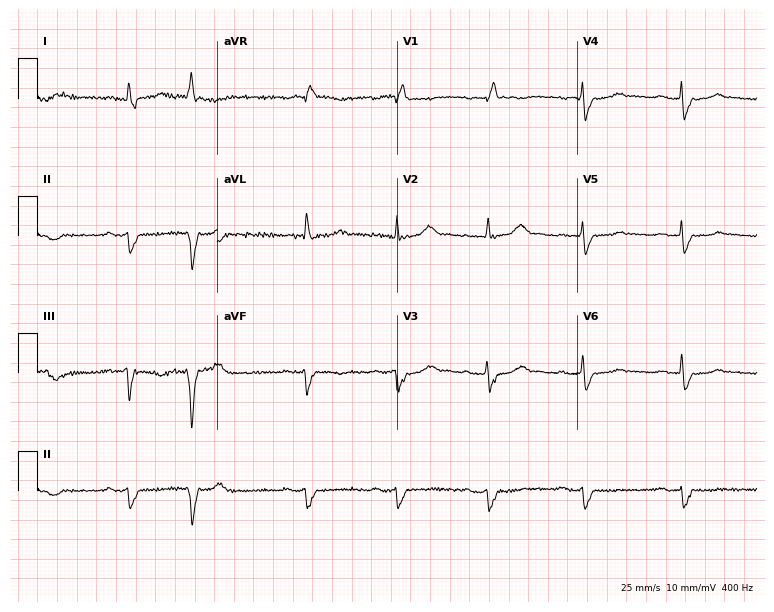
Electrocardiogram, a male patient, 72 years old. Interpretation includes right bundle branch block.